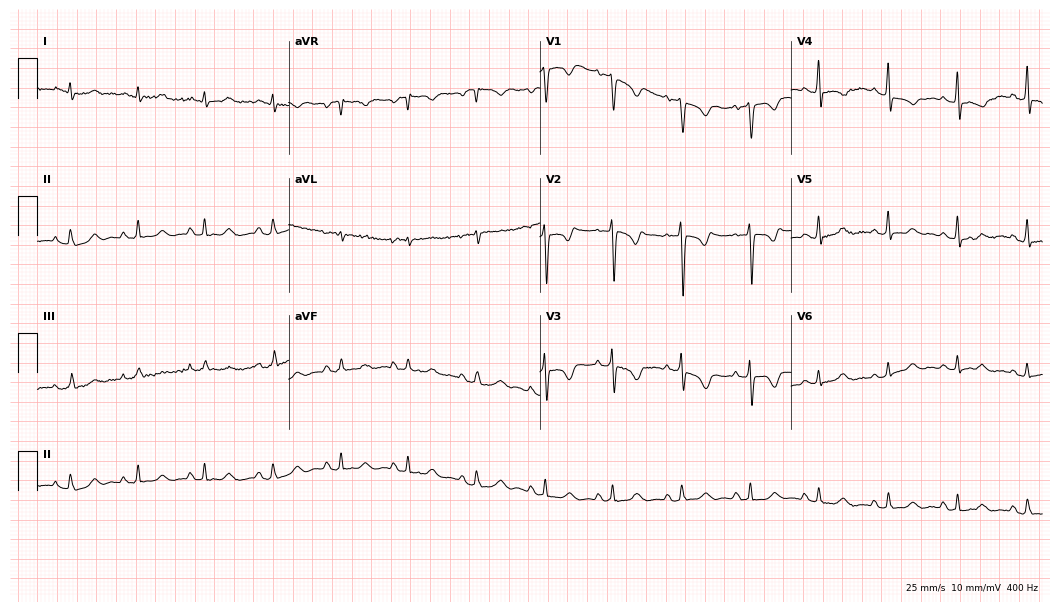
12-lead ECG from a 74-year-old female (10.2-second recording at 400 Hz). Recorded interpretation: within normal limits.